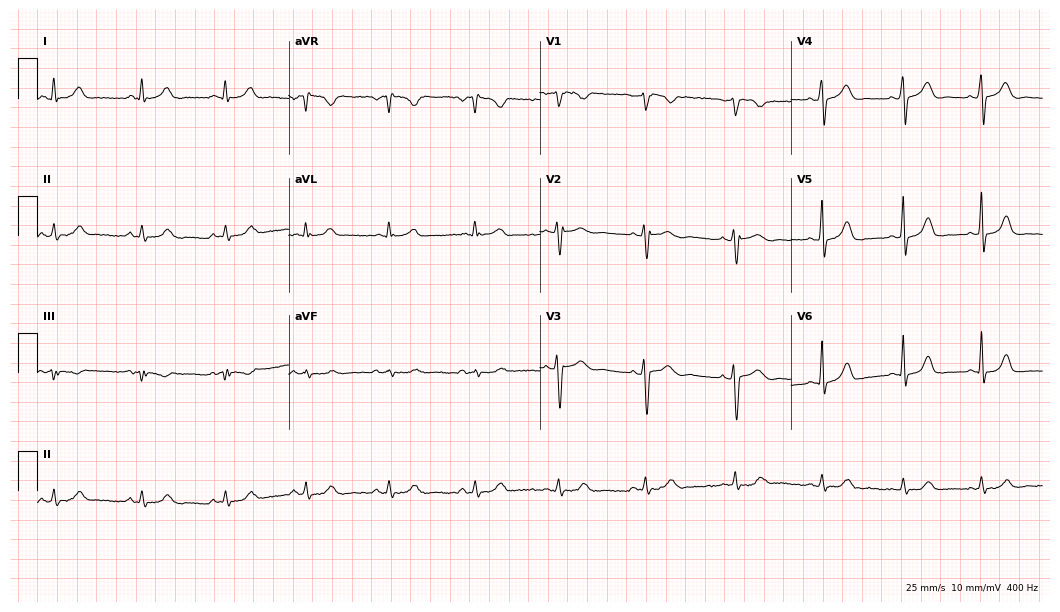
Electrocardiogram, a female, 20 years old. Of the six screened findings (first-degree AV block, right bundle branch block, left bundle branch block, sinus bradycardia, atrial fibrillation, sinus tachycardia), none is recorded. Only these six findings were labelled.